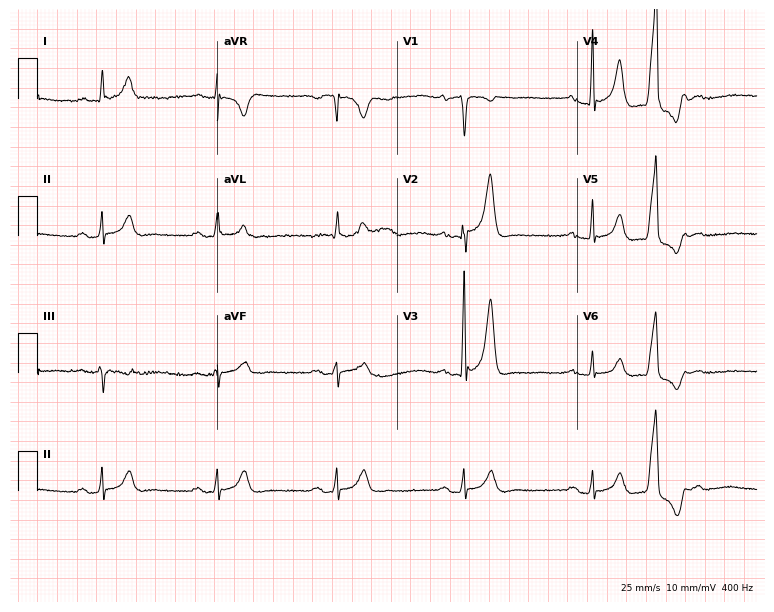
Standard 12-lead ECG recorded from a 58-year-old woman. The tracing shows first-degree AV block, sinus bradycardia (a sinus rate of 50 beats per minute or less).